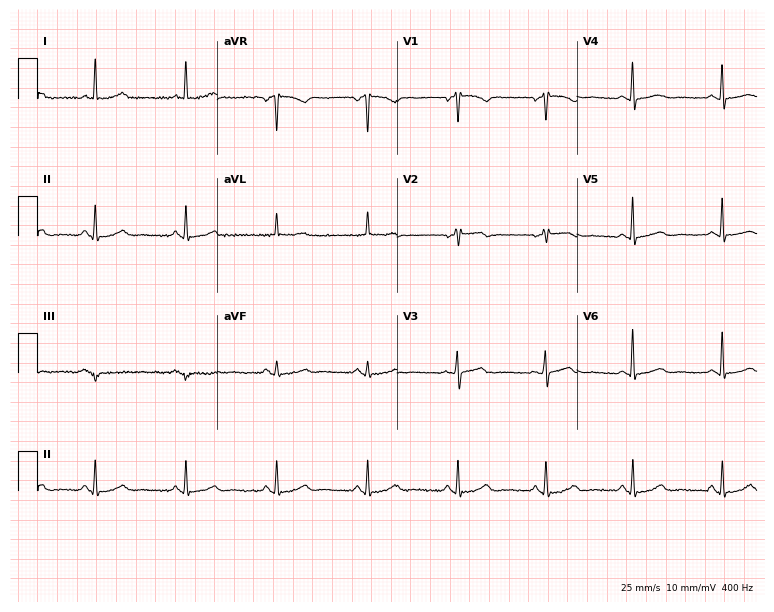
Resting 12-lead electrocardiogram (7.3-second recording at 400 Hz). Patient: a woman, 55 years old. None of these six findings is recorded: first-degree AV block, right bundle branch block, left bundle branch block, sinus bradycardia, atrial fibrillation, sinus tachycardia.